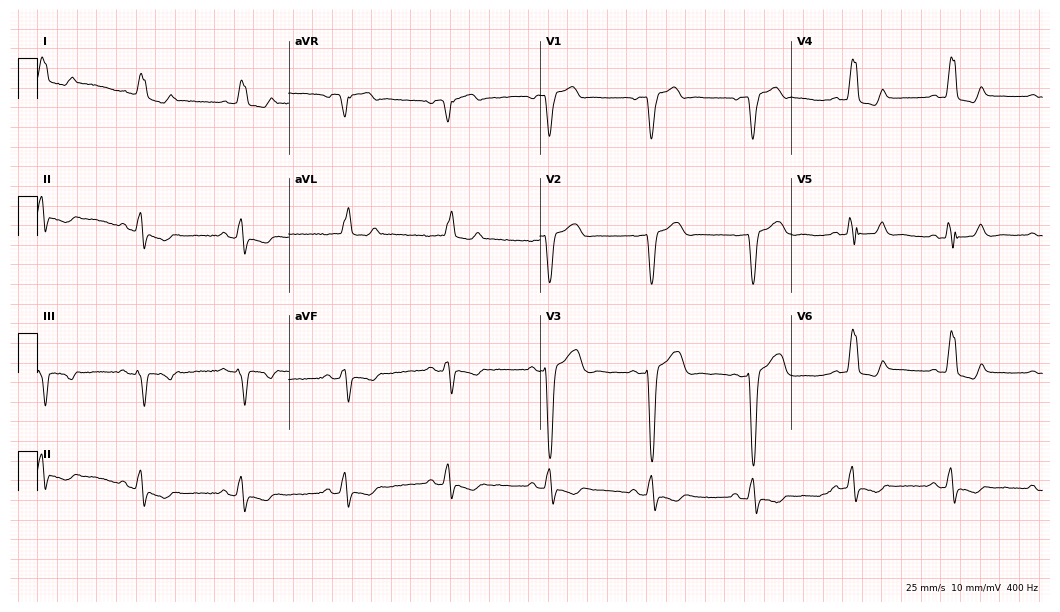
Resting 12-lead electrocardiogram. Patient: a male, 74 years old. The tracing shows left bundle branch block.